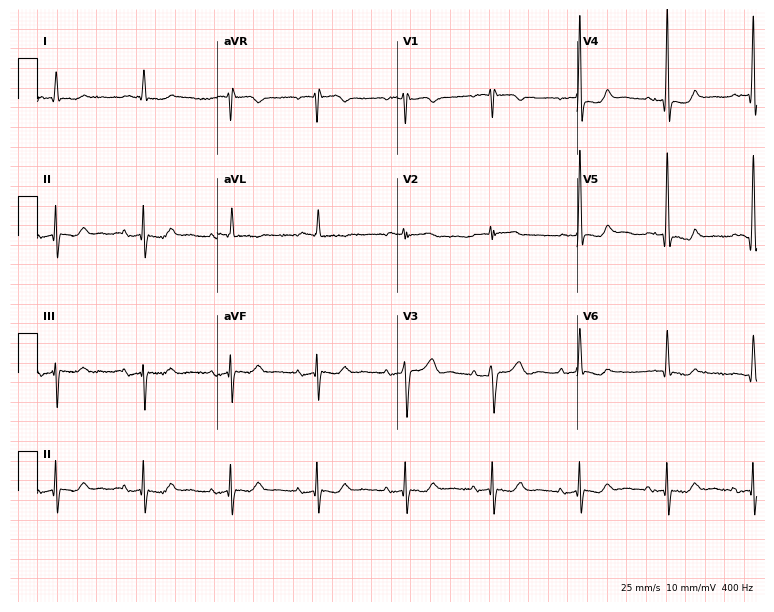
12-lead ECG from an 82-year-old male (7.3-second recording at 400 Hz). No first-degree AV block, right bundle branch block (RBBB), left bundle branch block (LBBB), sinus bradycardia, atrial fibrillation (AF) or sinus tachycardia recorded for this tracing. Other findings, if any, are not listed.